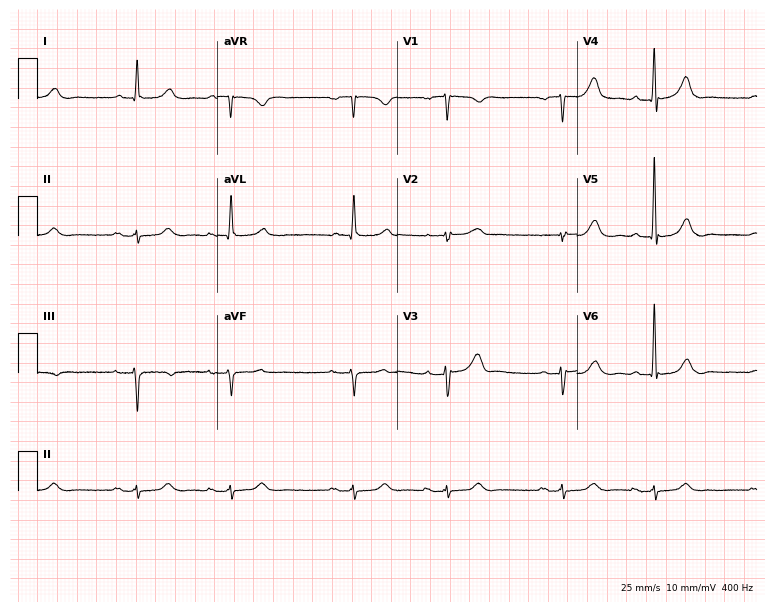
Electrocardiogram (7.3-second recording at 400 Hz), an 81-year-old male. Of the six screened findings (first-degree AV block, right bundle branch block, left bundle branch block, sinus bradycardia, atrial fibrillation, sinus tachycardia), none is recorded.